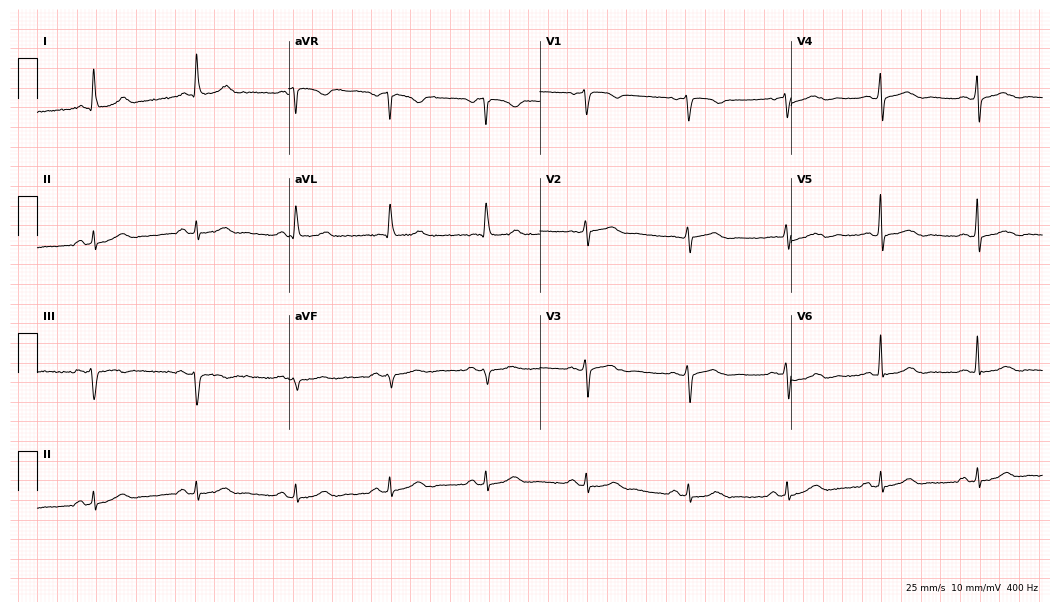
12-lead ECG (10.2-second recording at 400 Hz) from a female, 65 years old. Labelled as a normal ECG.